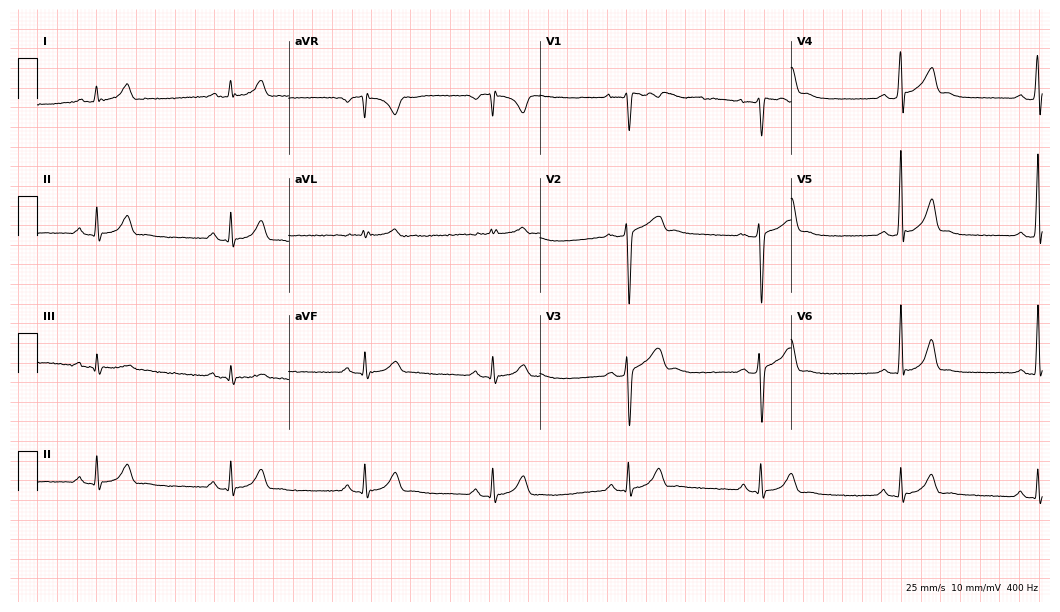
12-lead ECG from a man, 34 years old. Shows first-degree AV block, sinus bradycardia (a sinus rate of 50 beats per minute or less).